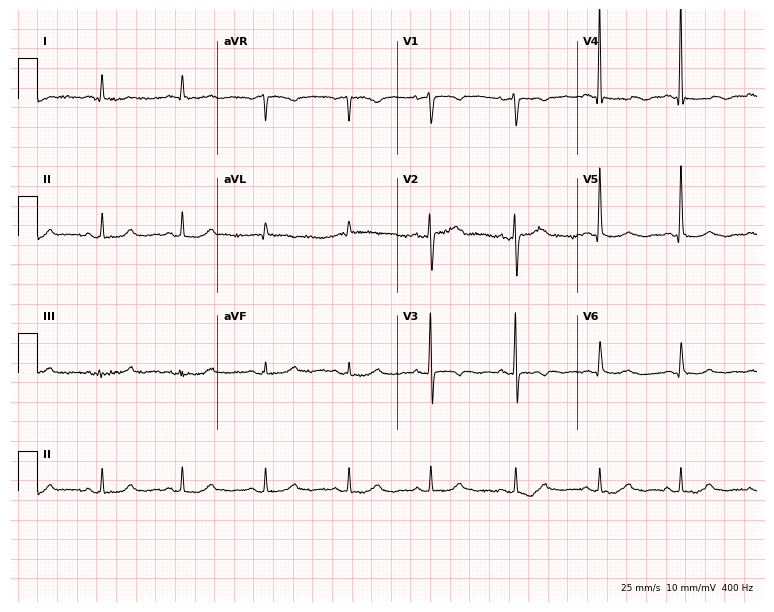
12-lead ECG from a 79-year-old female patient. No first-degree AV block, right bundle branch block (RBBB), left bundle branch block (LBBB), sinus bradycardia, atrial fibrillation (AF) or sinus tachycardia recorded for this tracing.